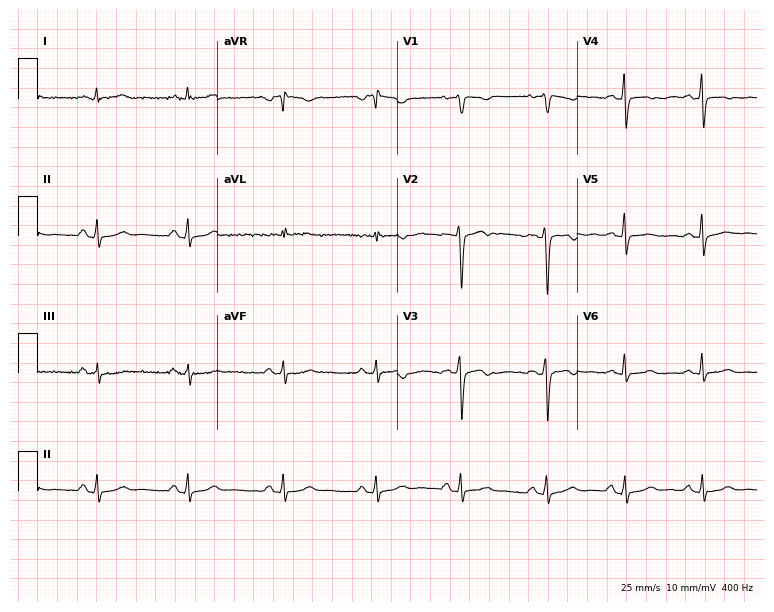
12-lead ECG from a 45-year-old woman. Screened for six findings — first-degree AV block, right bundle branch block, left bundle branch block, sinus bradycardia, atrial fibrillation, sinus tachycardia — none is recorded. Only these six findings were labelled.